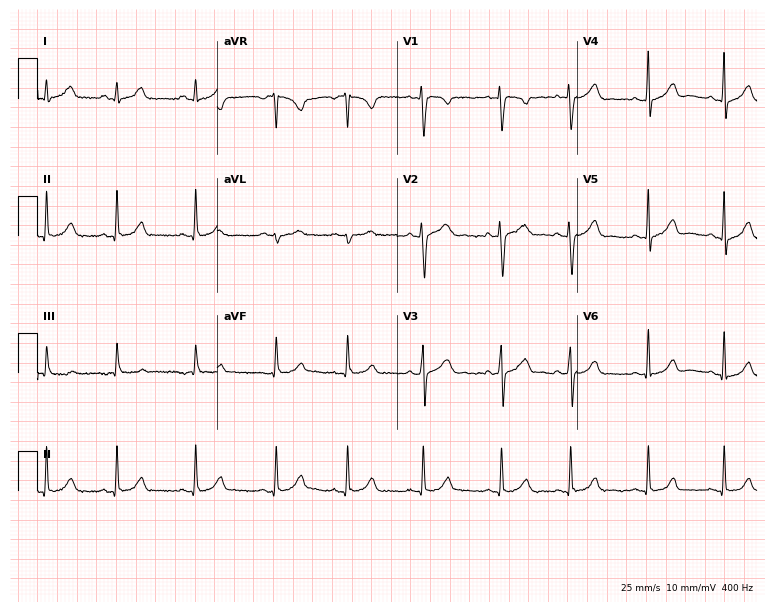
12-lead ECG from a female patient, 17 years old (7.3-second recording at 400 Hz). Recorded interpretation: within normal limits.